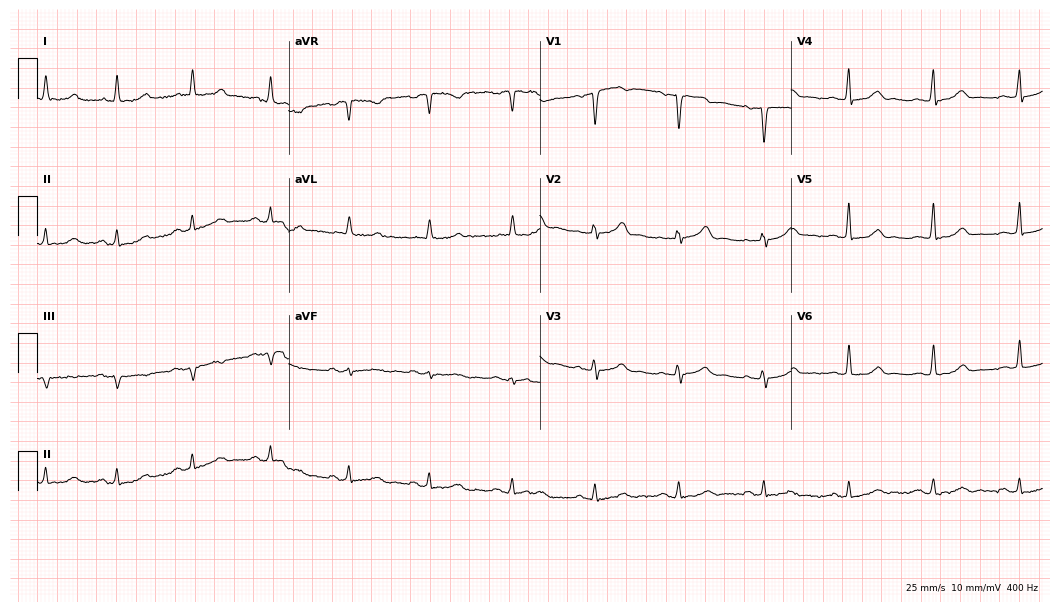
ECG (10.2-second recording at 400 Hz) — a female, 68 years old. Labelled as a normal ECG.